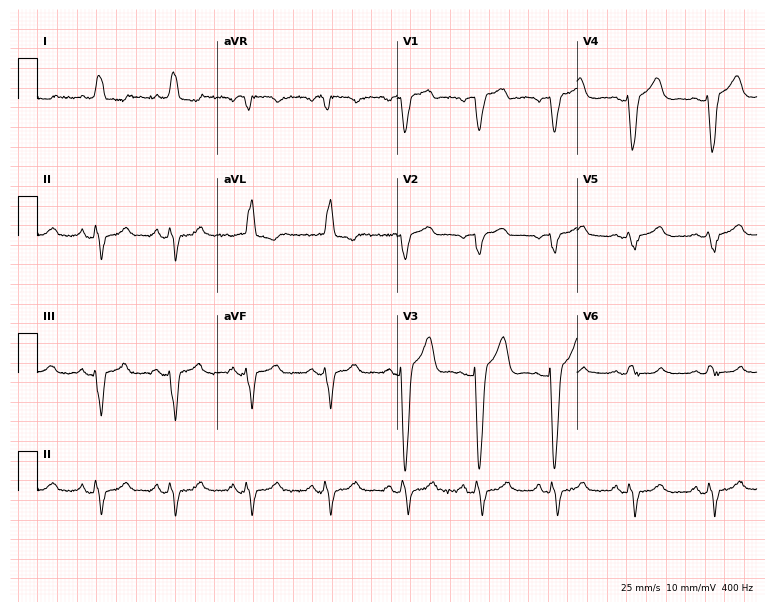
ECG — a woman, 72 years old. Findings include left bundle branch block.